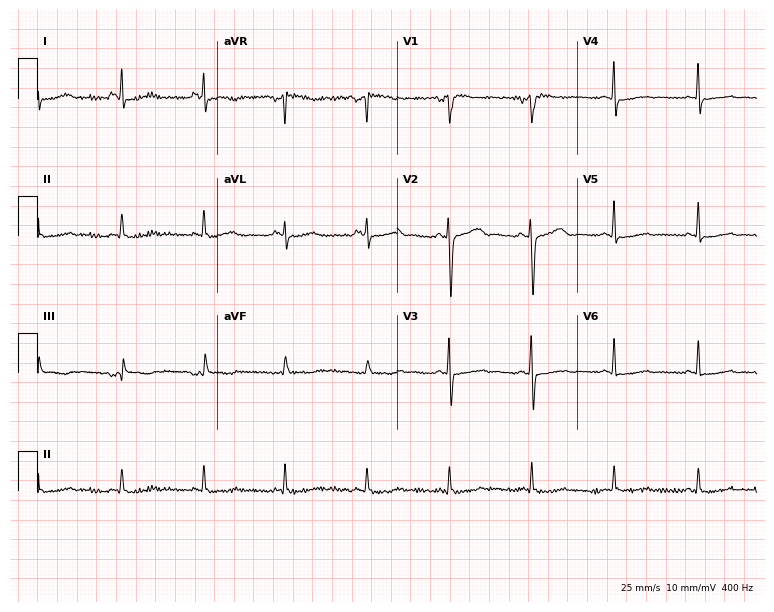
Resting 12-lead electrocardiogram. Patient: a female, 51 years old. None of these six findings is recorded: first-degree AV block, right bundle branch block, left bundle branch block, sinus bradycardia, atrial fibrillation, sinus tachycardia.